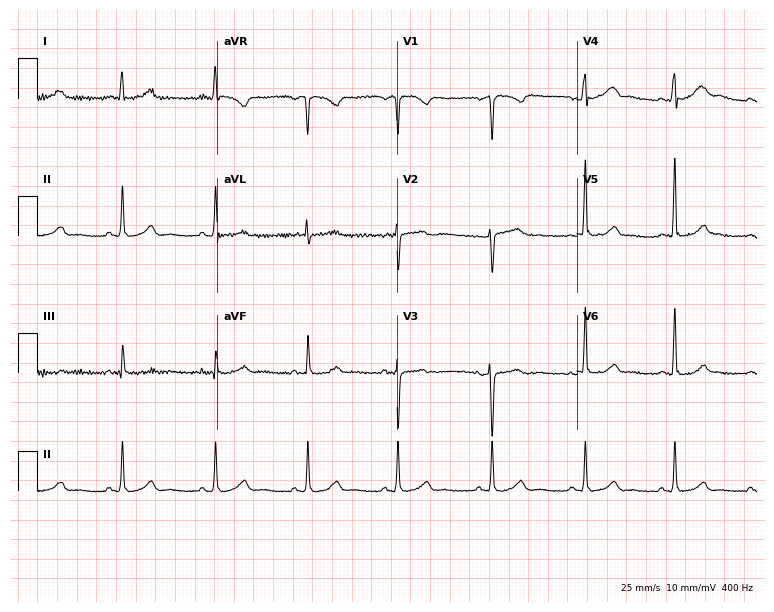
Electrocardiogram, a 38-year-old woman. Of the six screened findings (first-degree AV block, right bundle branch block (RBBB), left bundle branch block (LBBB), sinus bradycardia, atrial fibrillation (AF), sinus tachycardia), none is recorded. Other findings, if any, are not listed.